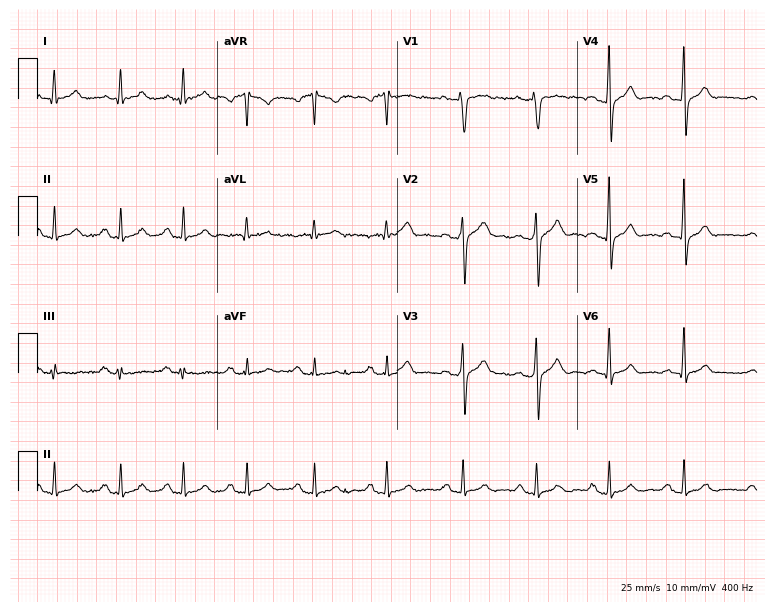
Resting 12-lead electrocardiogram. Patient: a man, 24 years old. Read as a normal ECG.